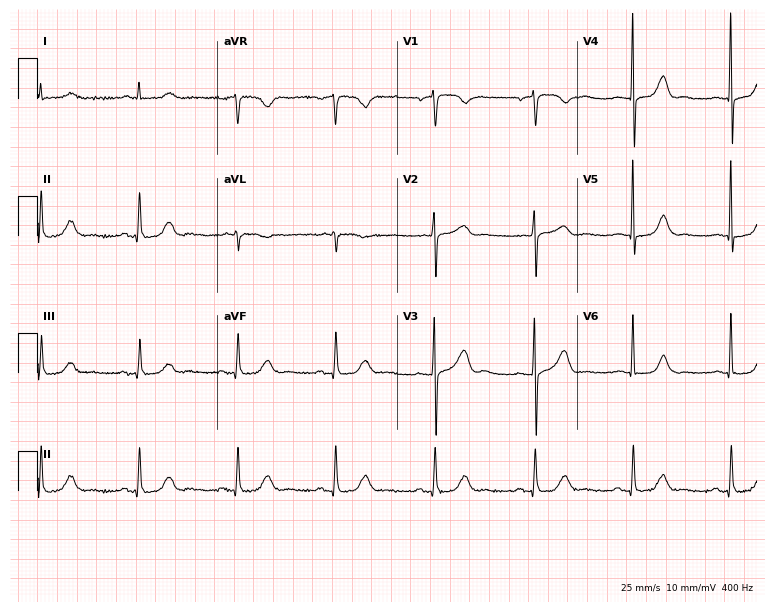
12-lead ECG from a 78-year-old female. Labelled as a normal ECG.